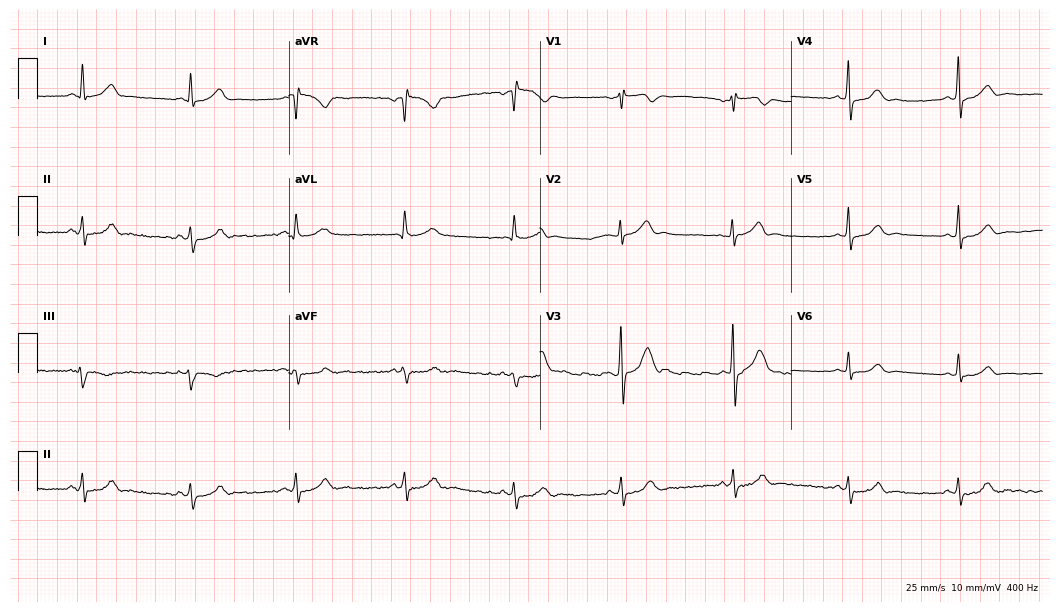
12-lead ECG from a 36-year-old male. Recorded interpretation: within normal limits.